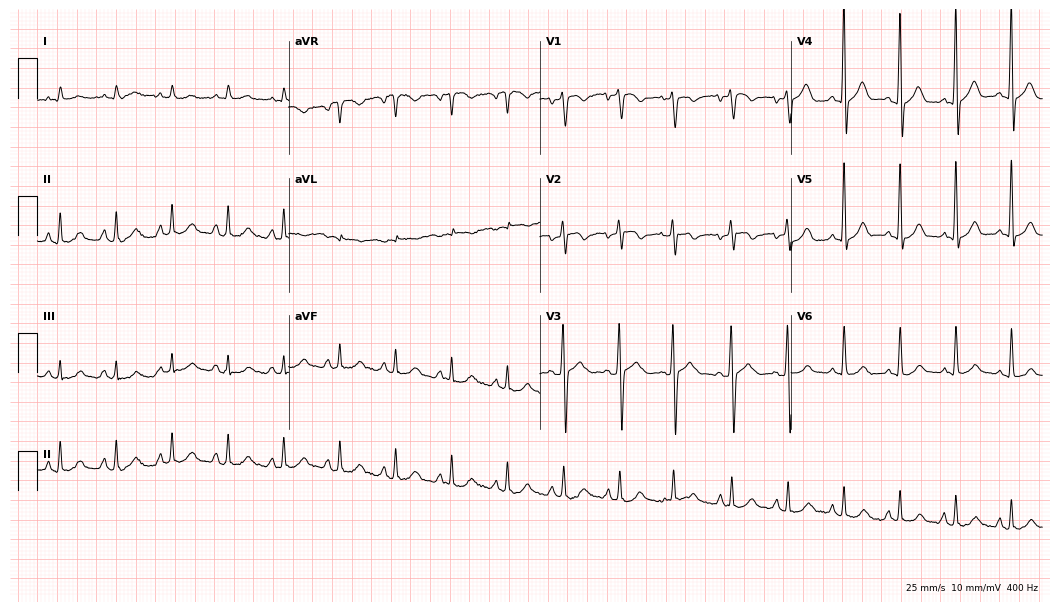
ECG (10.2-second recording at 400 Hz) — a 79-year-old man. Findings include sinus tachycardia (a sinus rate of 100 beats per minute or more).